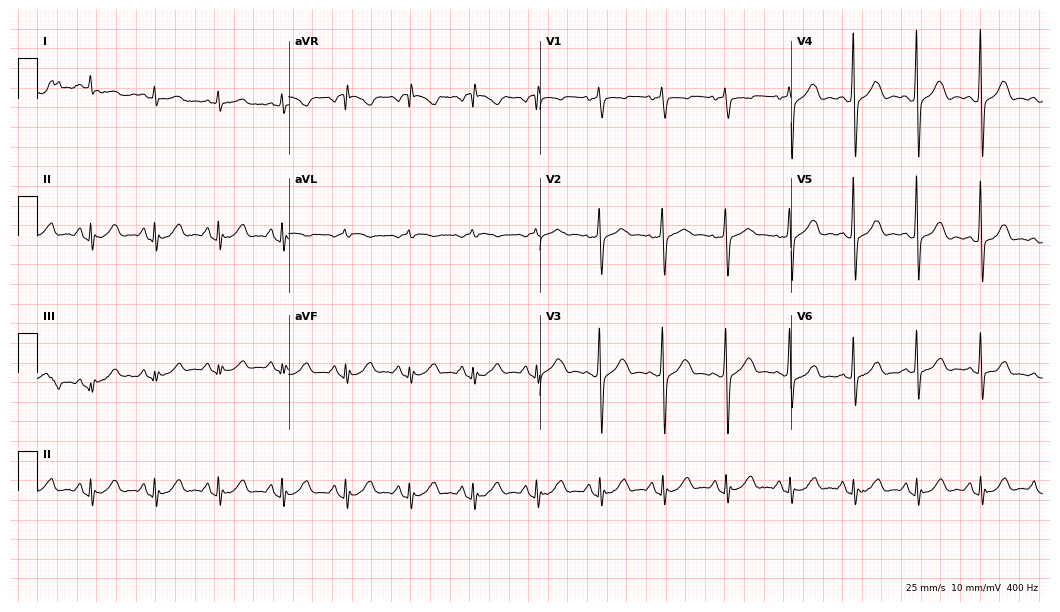
12-lead ECG from a male, 85 years old. Recorded interpretation: within normal limits.